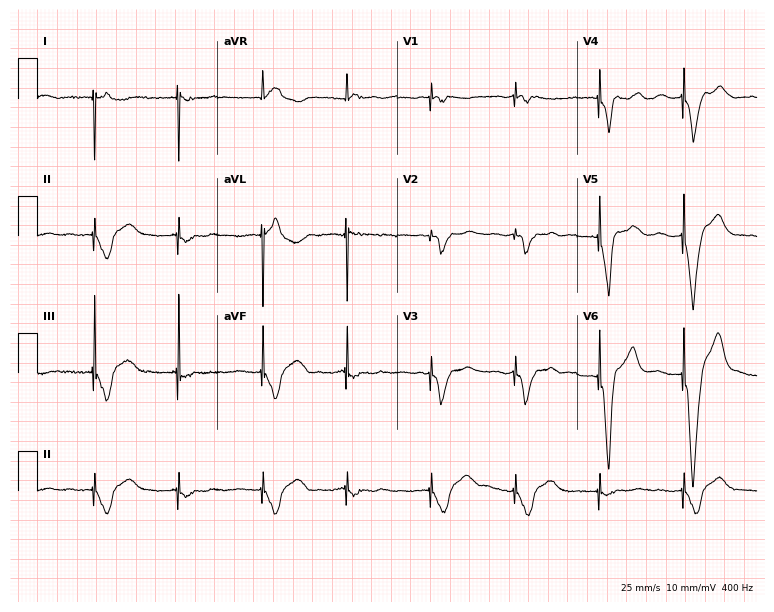
12-lead ECG from a male, 84 years old. Screened for six findings — first-degree AV block, right bundle branch block, left bundle branch block, sinus bradycardia, atrial fibrillation, sinus tachycardia — none is recorded.